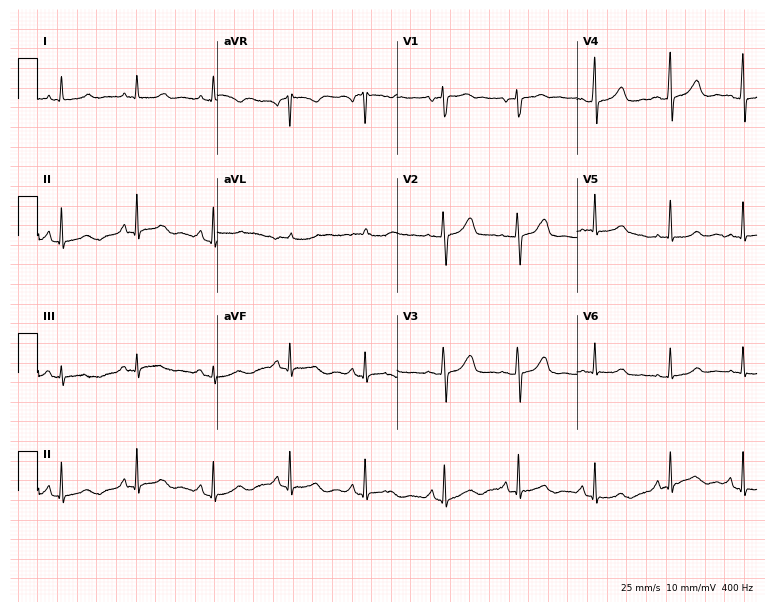
Electrocardiogram (7.3-second recording at 400 Hz), a female, 62 years old. Of the six screened findings (first-degree AV block, right bundle branch block, left bundle branch block, sinus bradycardia, atrial fibrillation, sinus tachycardia), none is recorded. Findings outside these six are not listed.